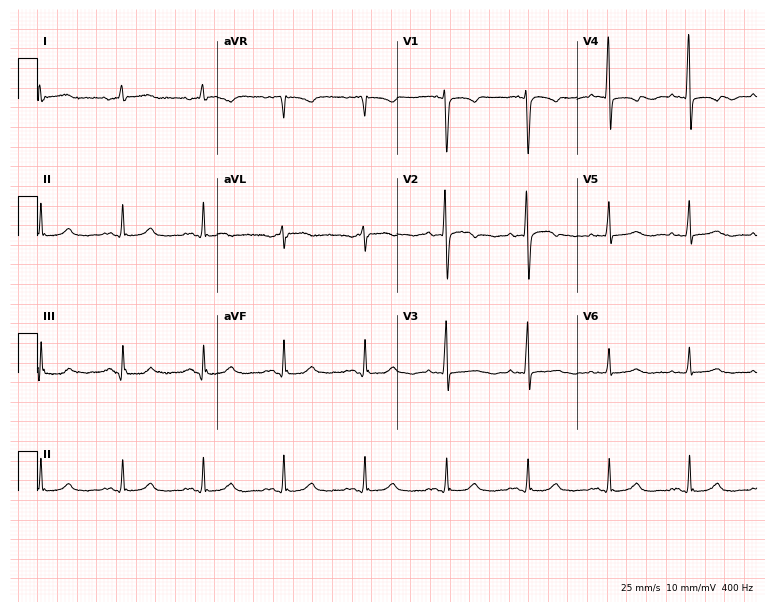
Resting 12-lead electrocardiogram (7.3-second recording at 400 Hz). Patient: a female, 66 years old. Read as a normal ECG.